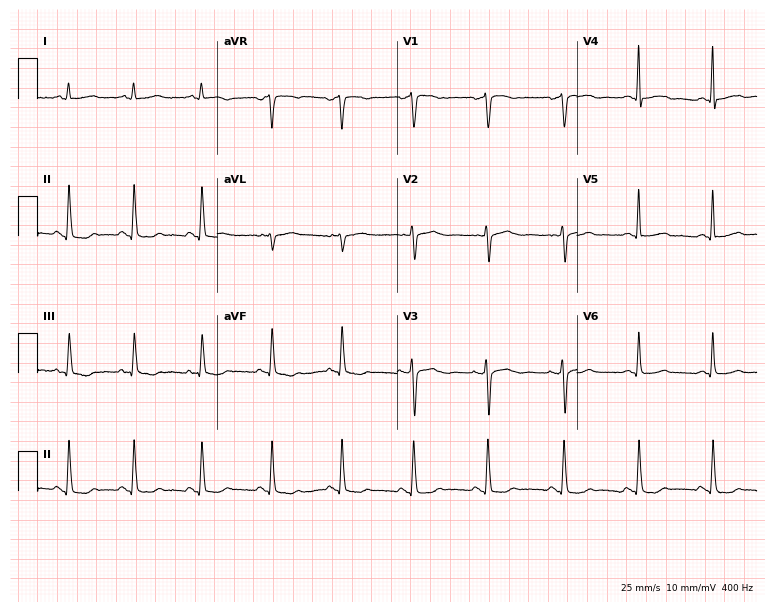
12-lead ECG from a 38-year-old woman. No first-degree AV block, right bundle branch block (RBBB), left bundle branch block (LBBB), sinus bradycardia, atrial fibrillation (AF) or sinus tachycardia recorded for this tracing.